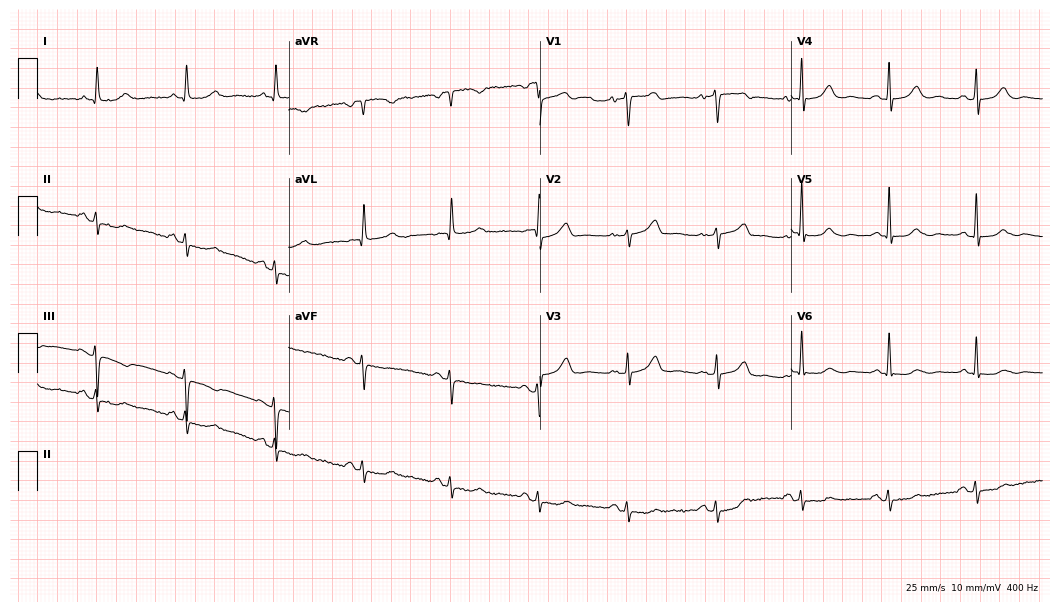
Electrocardiogram, a 73-year-old female patient. Of the six screened findings (first-degree AV block, right bundle branch block, left bundle branch block, sinus bradycardia, atrial fibrillation, sinus tachycardia), none is recorded.